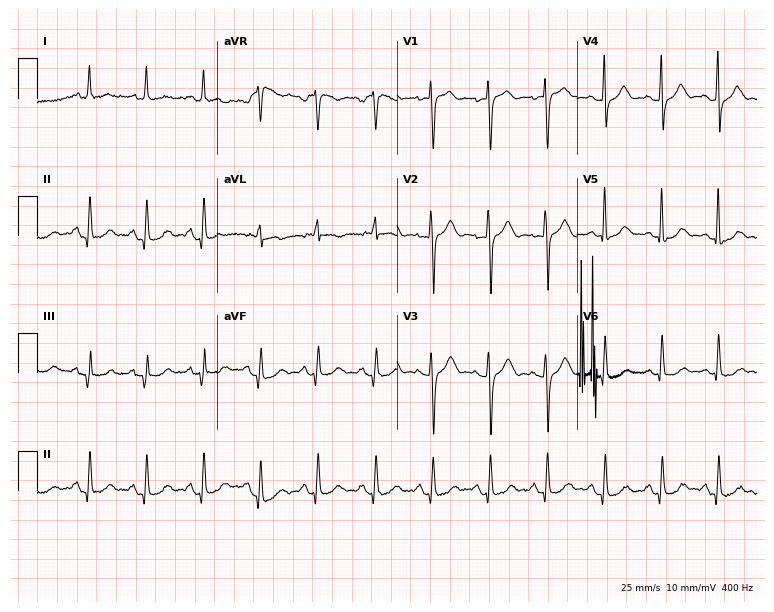
Electrocardiogram, a 59-year-old female. Interpretation includes sinus tachycardia (a sinus rate of 100 beats per minute or more).